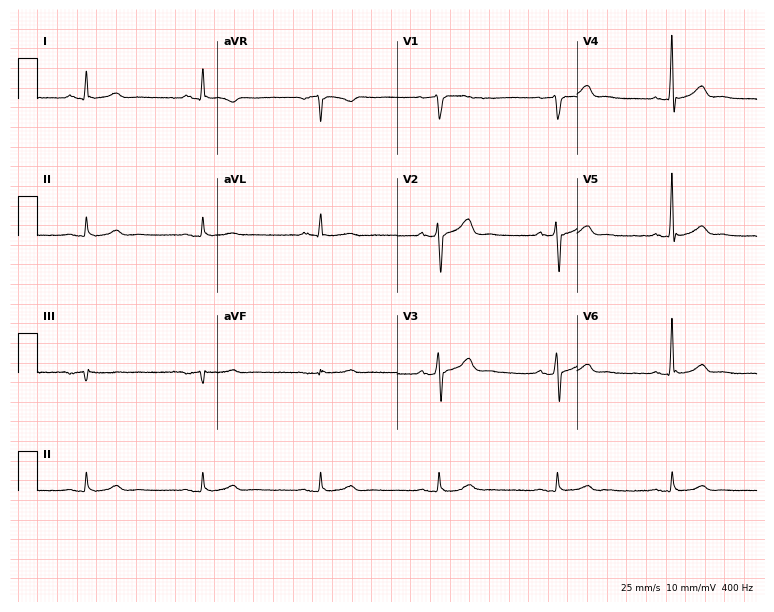
Electrocardiogram, a male, 55 years old. Interpretation includes sinus bradycardia (a sinus rate of 50 beats per minute or less).